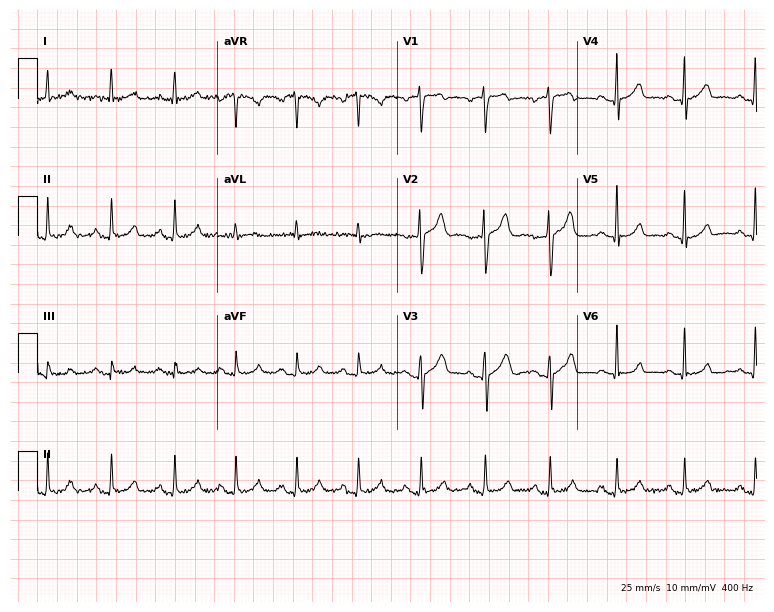
12-lead ECG from a 64-year-old male. Recorded interpretation: within normal limits.